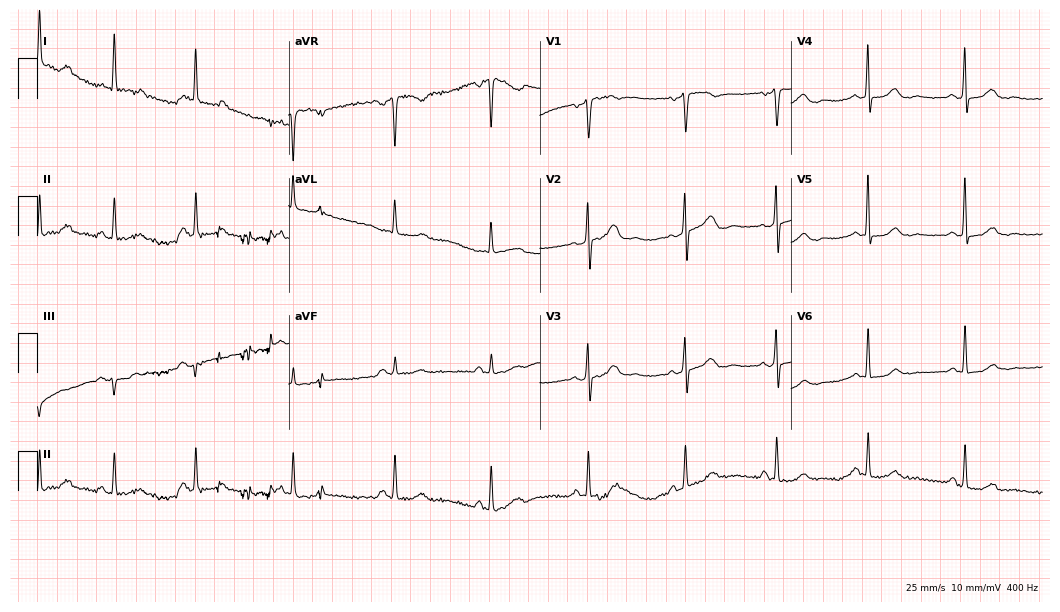
Standard 12-lead ECG recorded from a woman, 54 years old (10.2-second recording at 400 Hz). Read as a normal ECG.